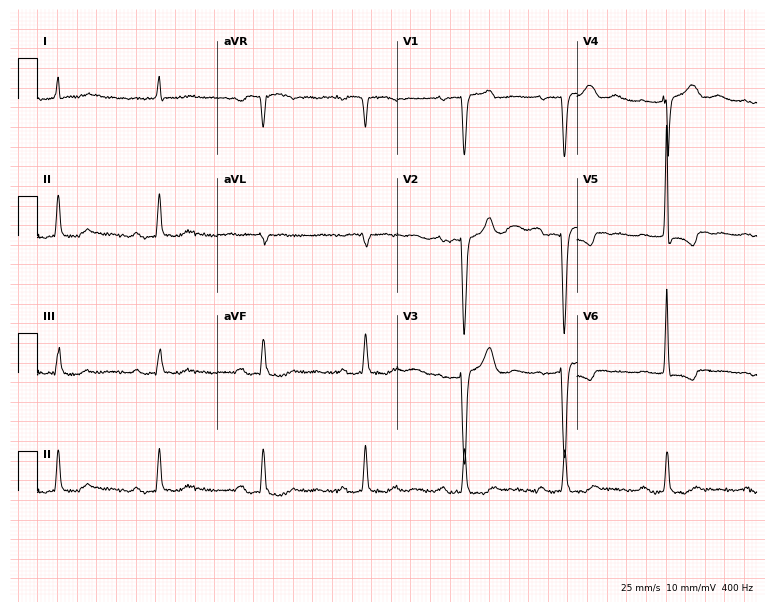
ECG — a male, 85 years old. Findings include first-degree AV block.